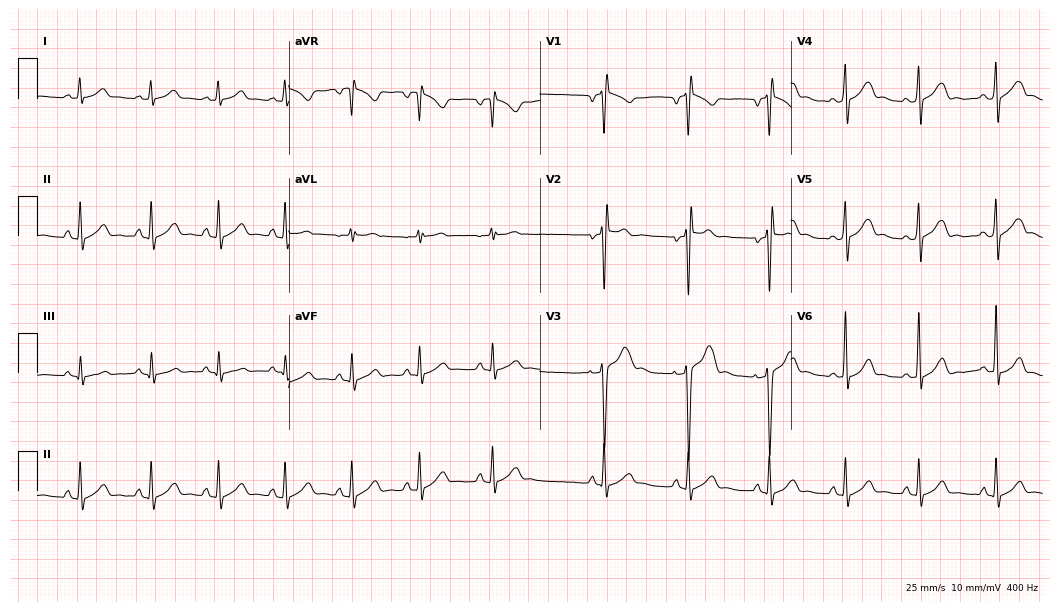
12-lead ECG (10.2-second recording at 400 Hz) from a male, 25 years old. Screened for six findings — first-degree AV block, right bundle branch block, left bundle branch block, sinus bradycardia, atrial fibrillation, sinus tachycardia — none is recorded.